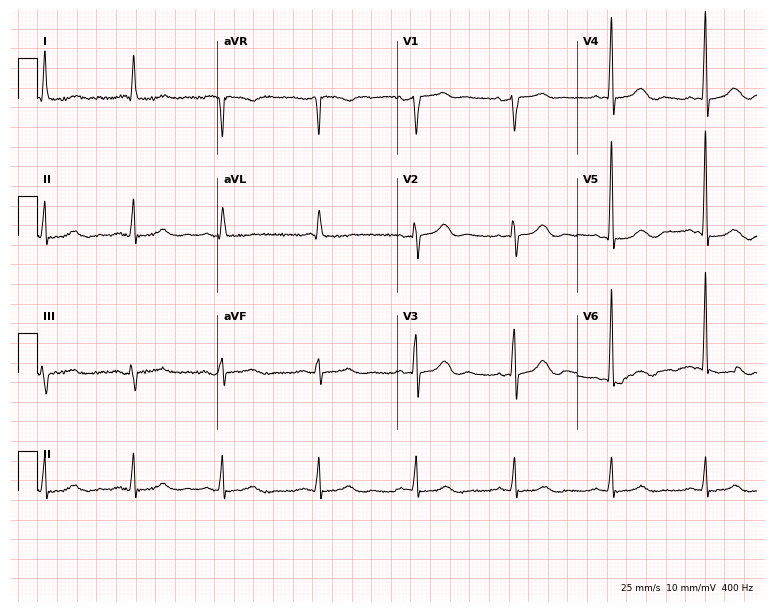
12-lead ECG from an 83-year-old woman. Screened for six findings — first-degree AV block, right bundle branch block, left bundle branch block, sinus bradycardia, atrial fibrillation, sinus tachycardia — none is recorded. Only these six findings were labelled.